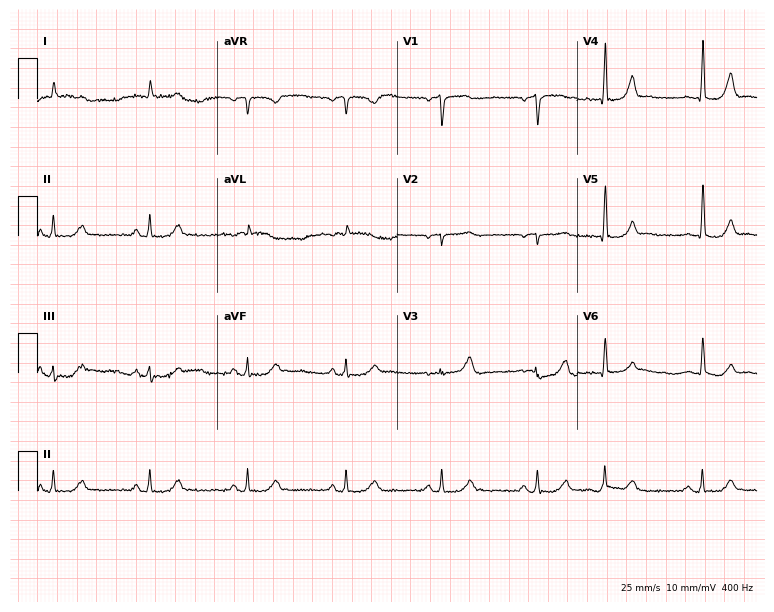
Resting 12-lead electrocardiogram. Patient: a male, 82 years old. Read as a normal ECG.